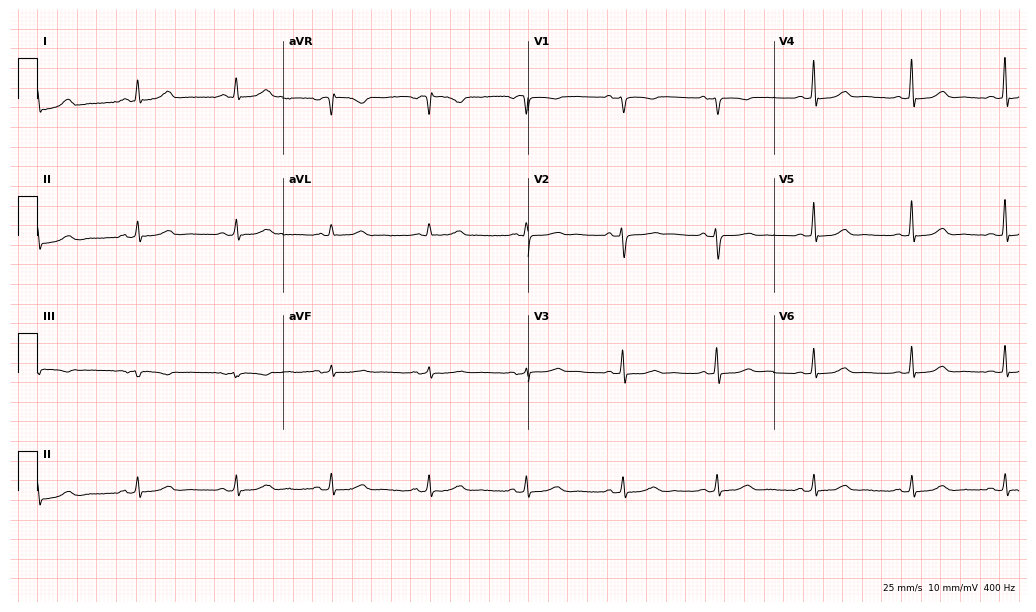
Electrocardiogram, a woman, 57 years old. Of the six screened findings (first-degree AV block, right bundle branch block, left bundle branch block, sinus bradycardia, atrial fibrillation, sinus tachycardia), none is recorded. Other findings, if any, are not listed.